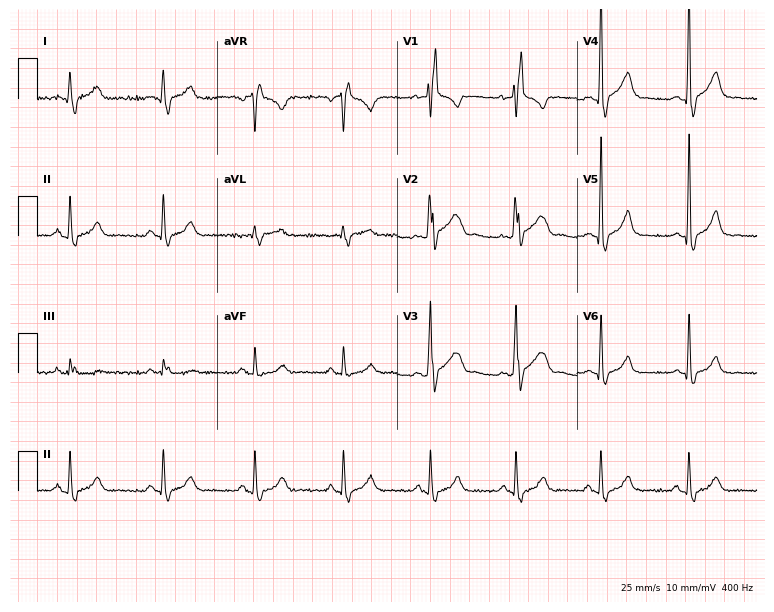
Resting 12-lead electrocardiogram. Patient: a male, 48 years old. The tracing shows right bundle branch block.